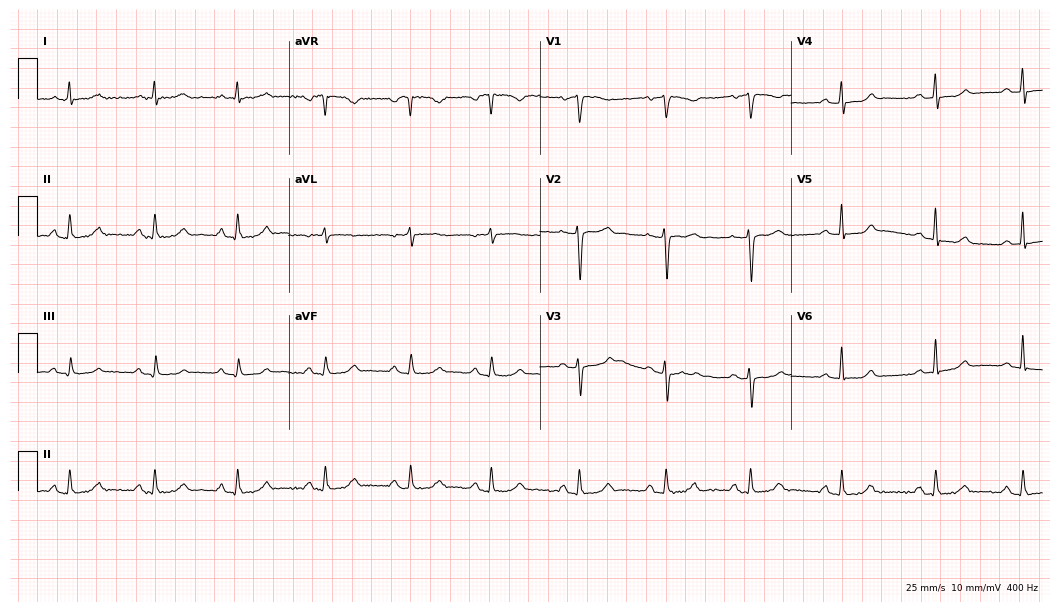
12-lead ECG from a 51-year-old female patient (10.2-second recording at 400 Hz). Recorded interpretation: within normal limits.